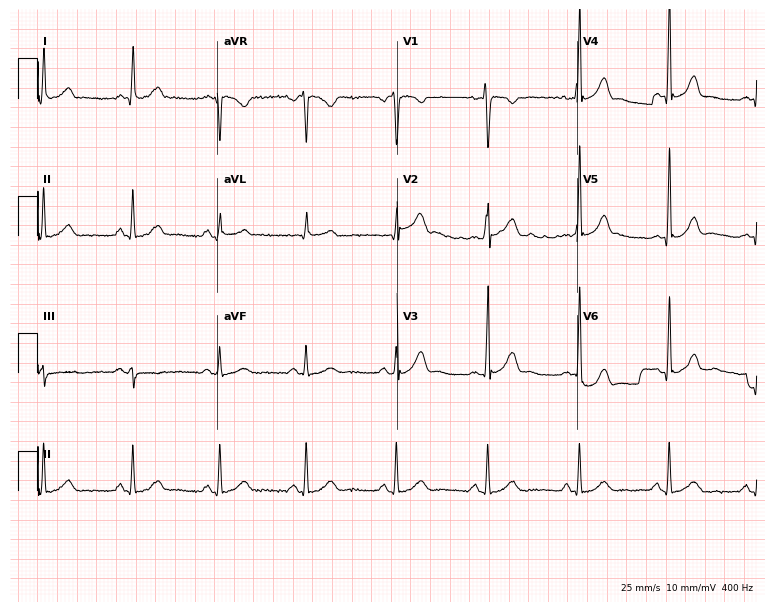
12-lead ECG from a 43-year-old woman (7.3-second recording at 400 Hz). No first-degree AV block, right bundle branch block (RBBB), left bundle branch block (LBBB), sinus bradycardia, atrial fibrillation (AF) or sinus tachycardia recorded for this tracing. Findings outside these six are not listed.